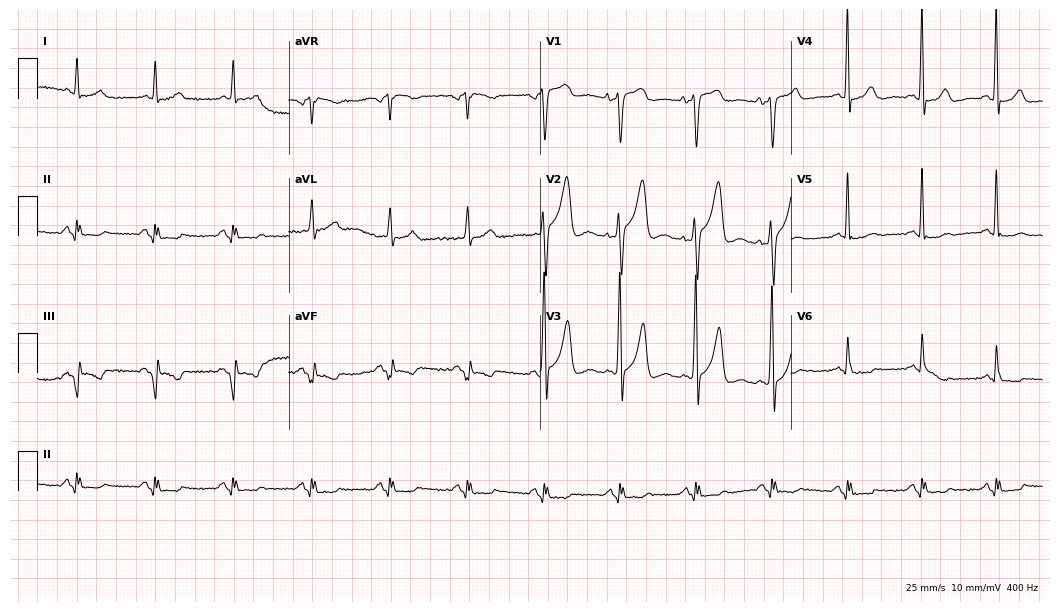
Electrocardiogram, a male, 70 years old. Of the six screened findings (first-degree AV block, right bundle branch block, left bundle branch block, sinus bradycardia, atrial fibrillation, sinus tachycardia), none is recorded.